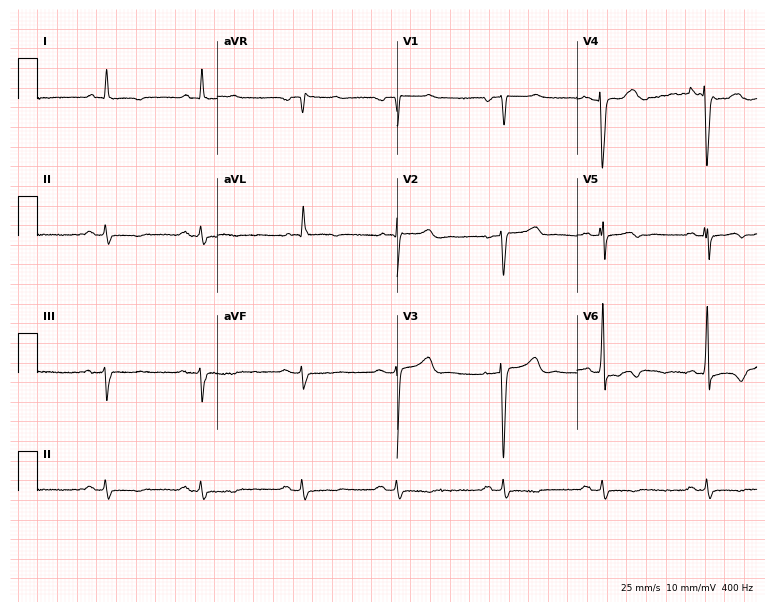
Electrocardiogram, an 82-year-old male. Of the six screened findings (first-degree AV block, right bundle branch block, left bundle branch block, sinus bradycardia, atrial fibrillation, sinus tachycardia), none is recorded.